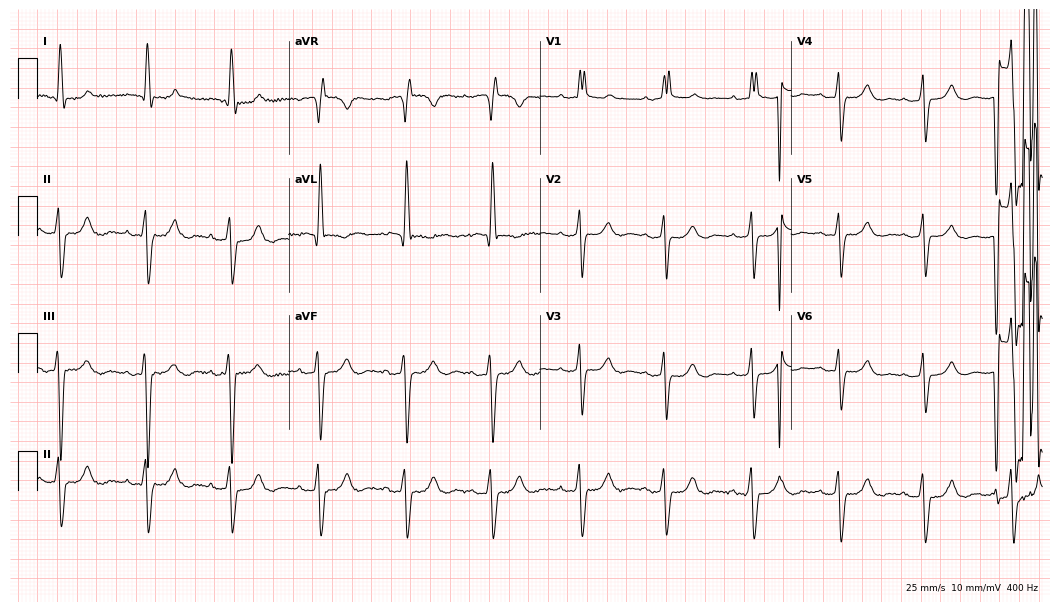
Resting 12-lead electrocardiogram. Patient: a female, 81 years old. The tracing shows right bundle branch block.